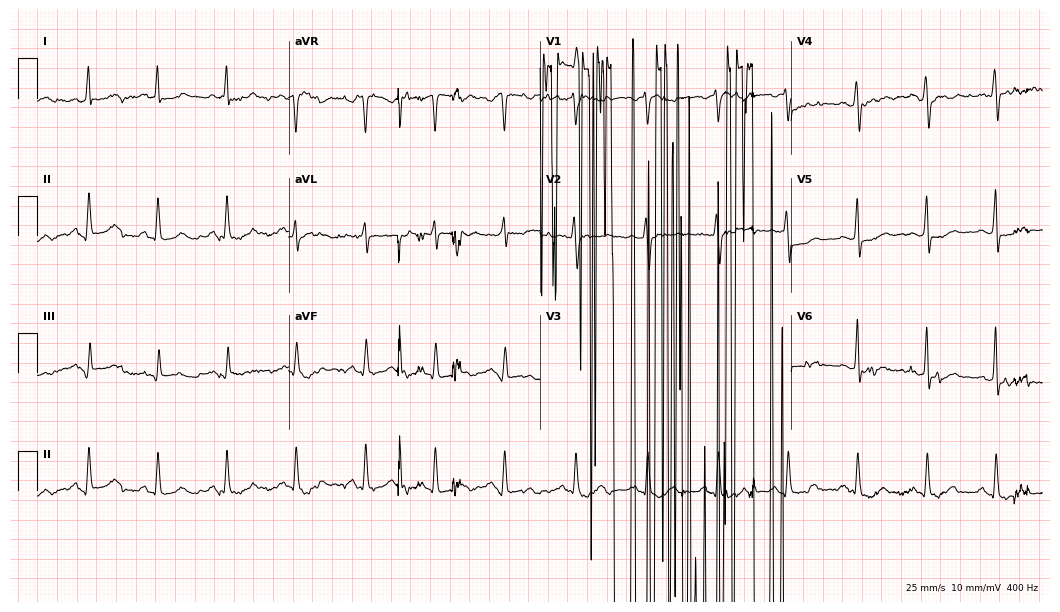
Standard 12-lead ECG recorded from a 65-year-old female. None of these six findings is recorded: first-degree AV block, right bundle branch block, left bundle branch block, sinus bradycardia, atrial fibrillation, sinus tachycardia. Only these six findings were labelled.